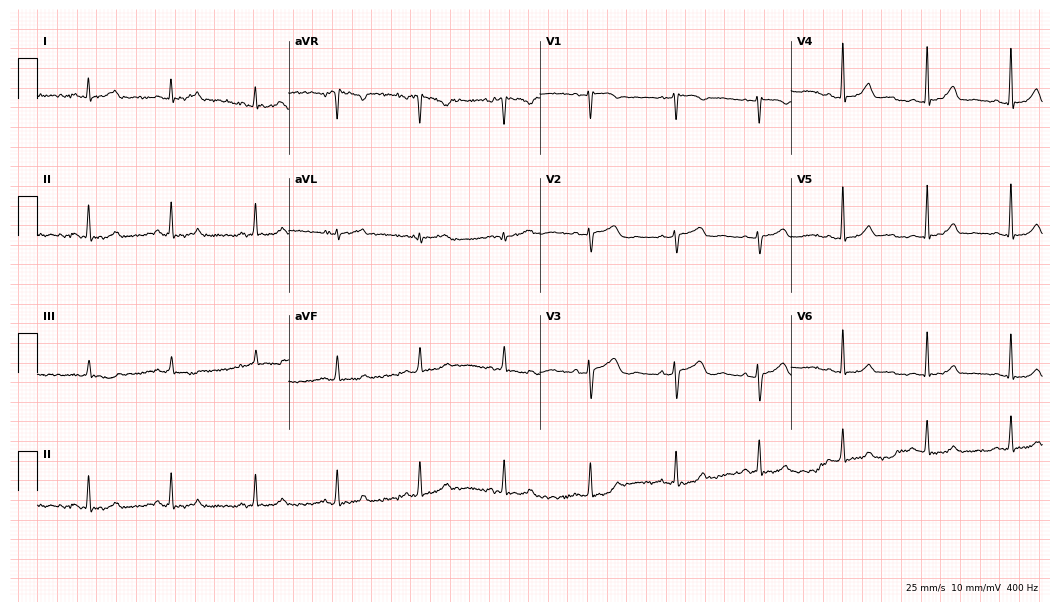
12-lead ECG from a female patient, 42 years old (10.2-second recording at 400 Hz). Recorded interpretation: within normal limits.